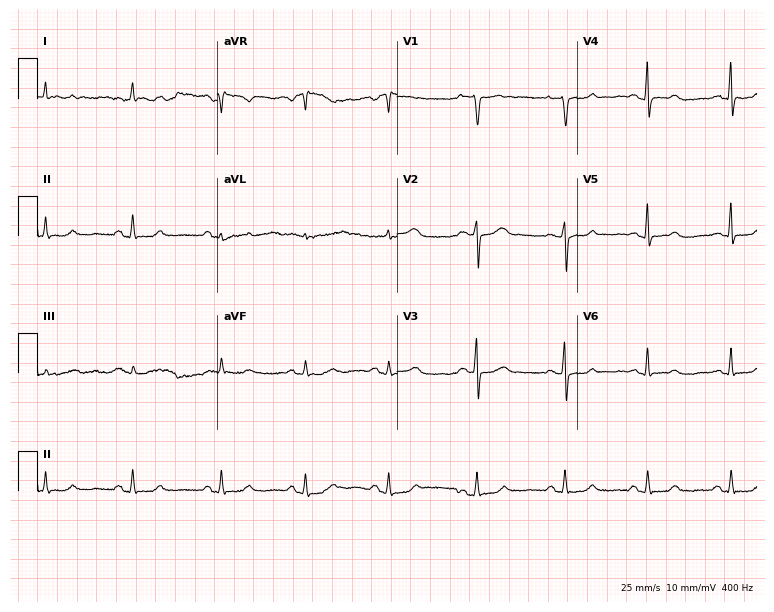
Standard 12-lead ECG recorded from a female patient, 54 years old (7.3-second recording at 400 Hz). None of these six findings is recorded: first-degree AV block, right bundle branch block, left bundle branch block, sinus bradycardia, atrial fibrillation, sinus tachycardia. Other findings, if any, are not listed.